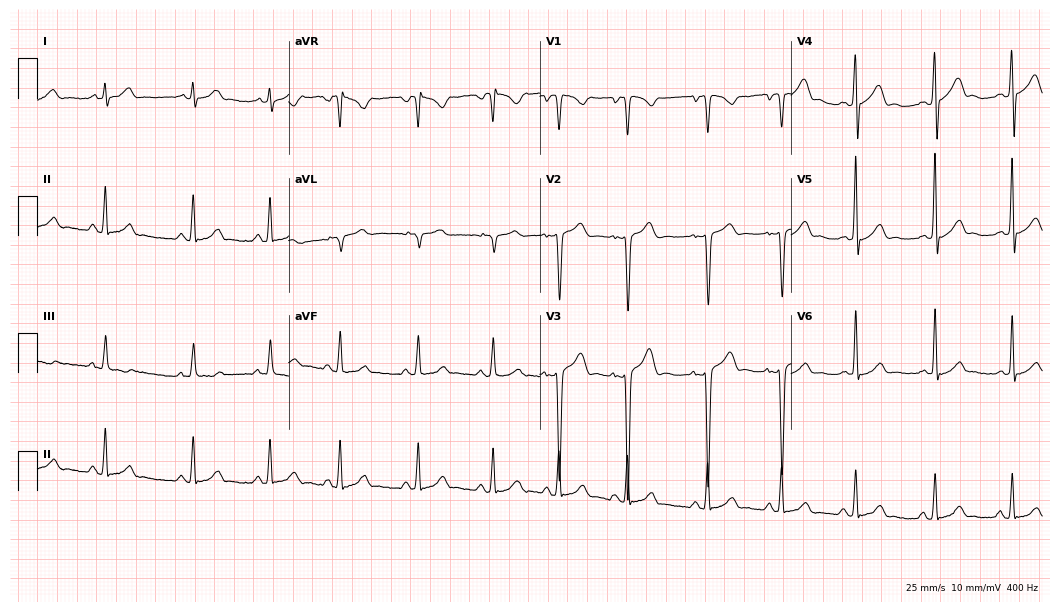
Resting 12-lead electrocardiogram. Patient: a 17-year-old man. None of these six findings is recorded: first-degree AV block, right bundle branch block, left bundle branch block, sinus bradycardia, atrial fibrillation, sinus tachycardia. Other findings, if any, are not listed.